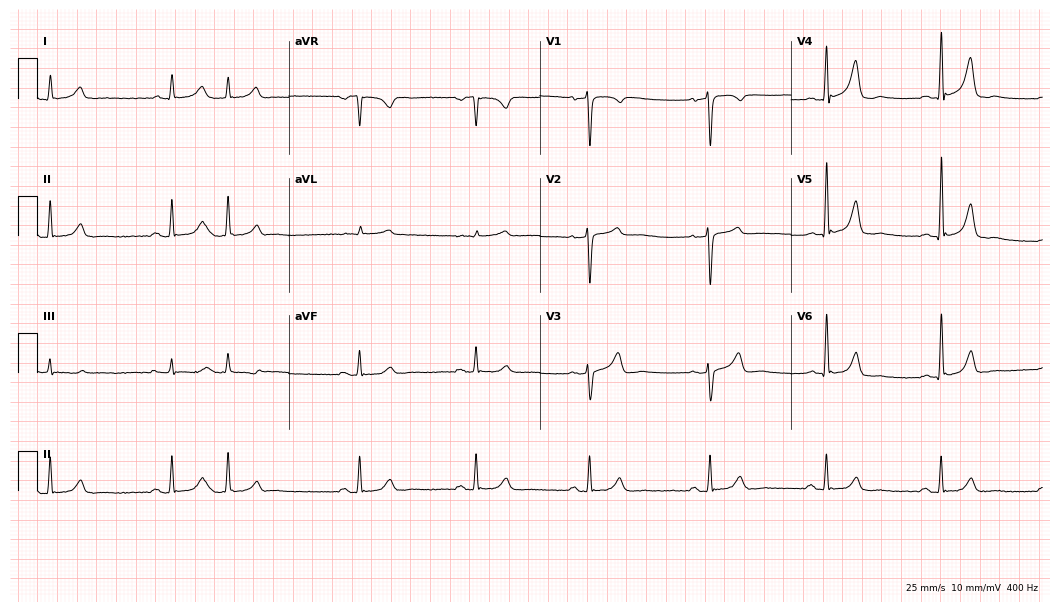
12-lead ECG (10.2-second recording at 400 Hz) from a male, 50 years old. Screened for six findings — first-degree AV block, right bundle branch block, left bundle branch block, sinus bradycardia, atrial fibrillation, sinus tachycardia — none is recorded. Only these six findings were labelled.